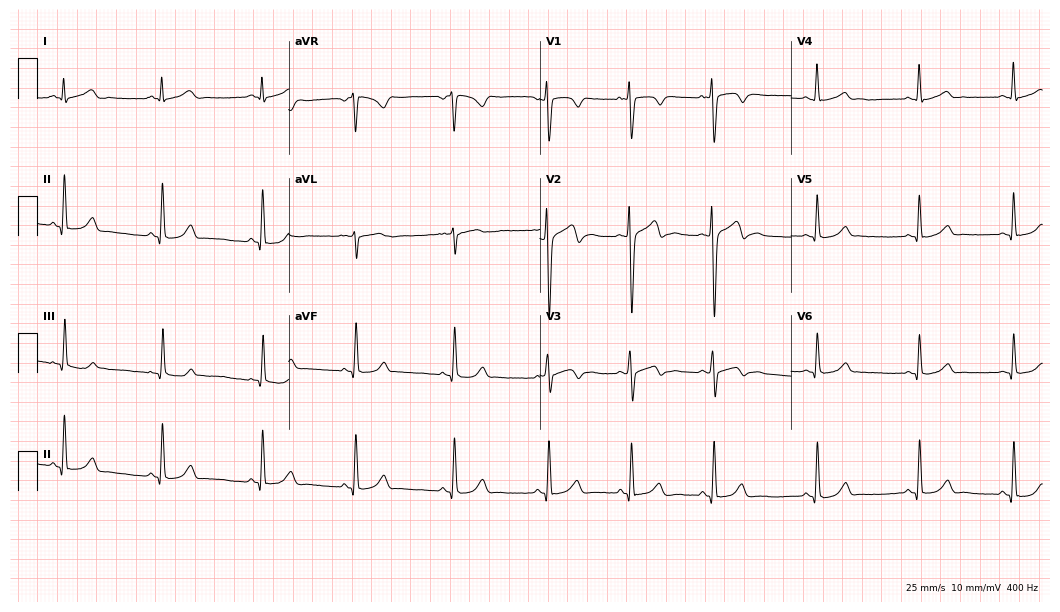
Electrocardiogram, a 20-year-old male. Overall reading on record: normal ECG.